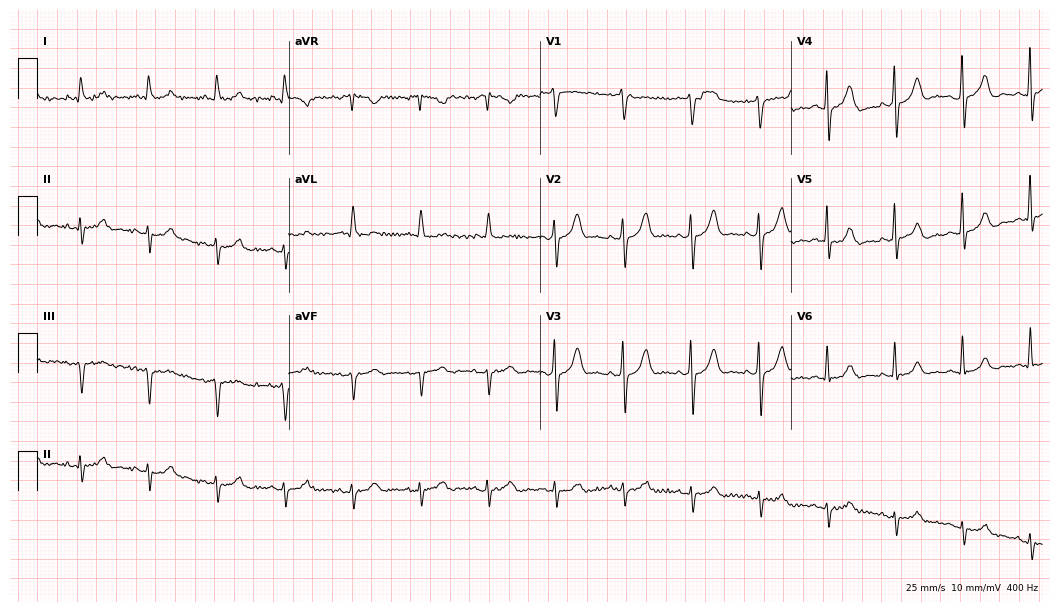
12-lead ECG from a 74-year-old man (10.2-second recording at 400 Hz). No first-degree AV block, right bundle branch block, left bundle branch block, sinus bradycardia, atrial fibrillation or sinus tachycardia recorded for this tracing. Only these six findings were labelled.